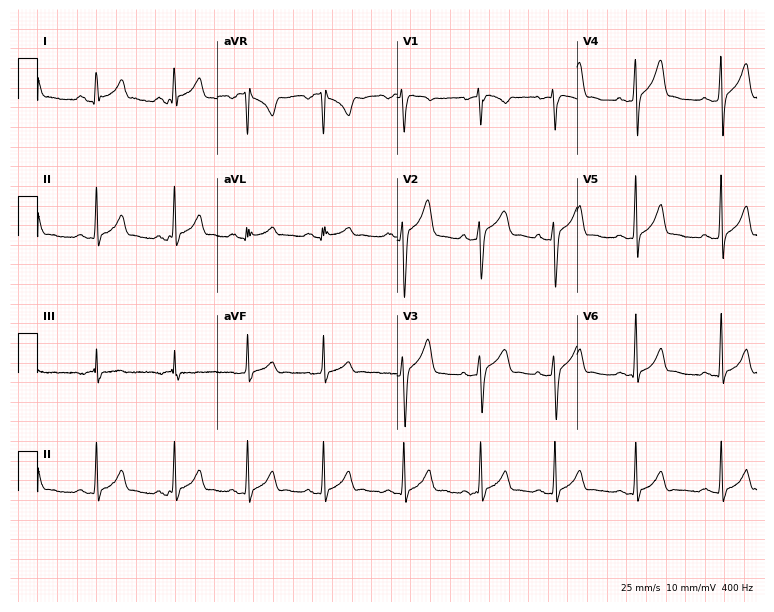
12-lead ECG from a male, 28 years old (7.3-second recording at 400 Hz). Recorded interpretation: within normal limits.